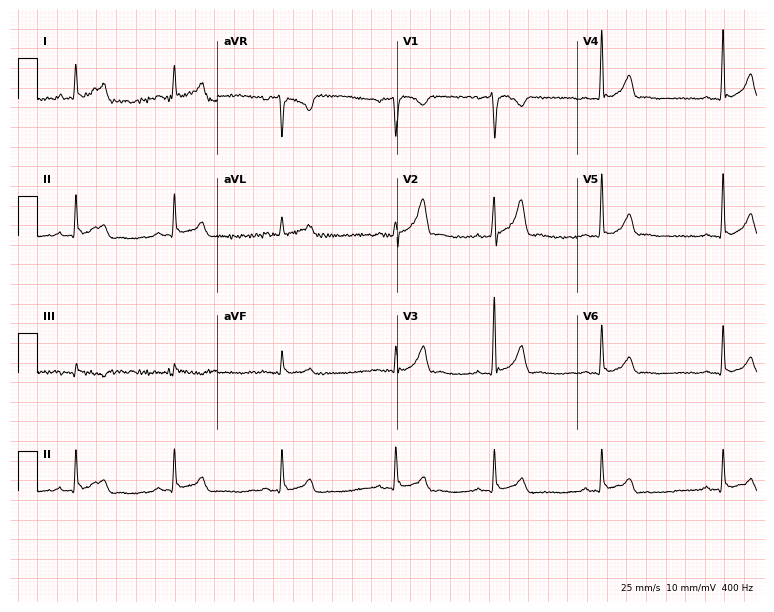
Resting 12-lead electrocardiogram. Patient: a male, 37 years old. Read as a normal ECG.